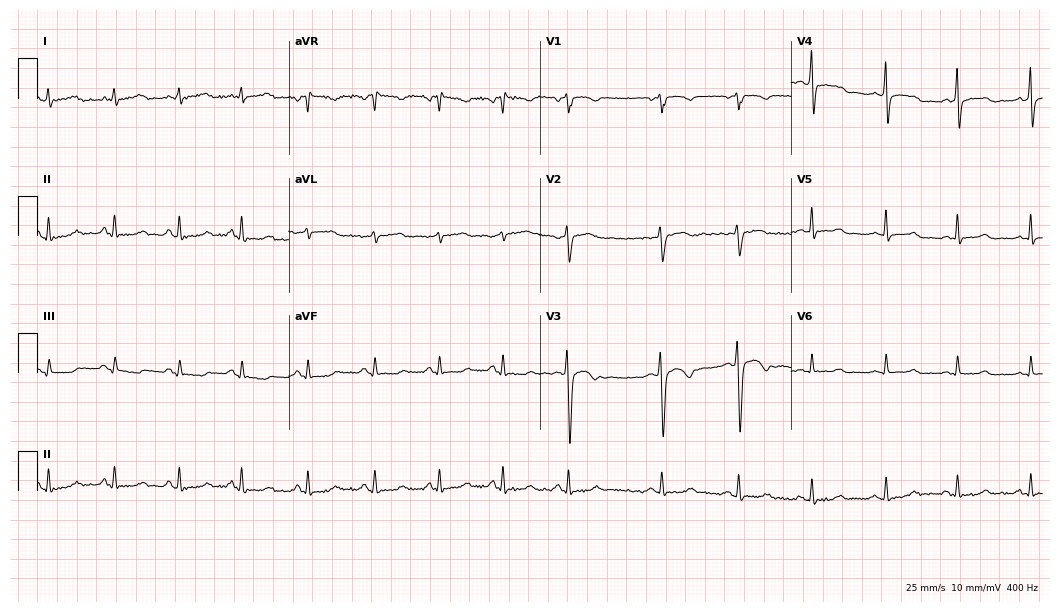
ECG — a female, 31 years old. Labelled as a normal ECG.